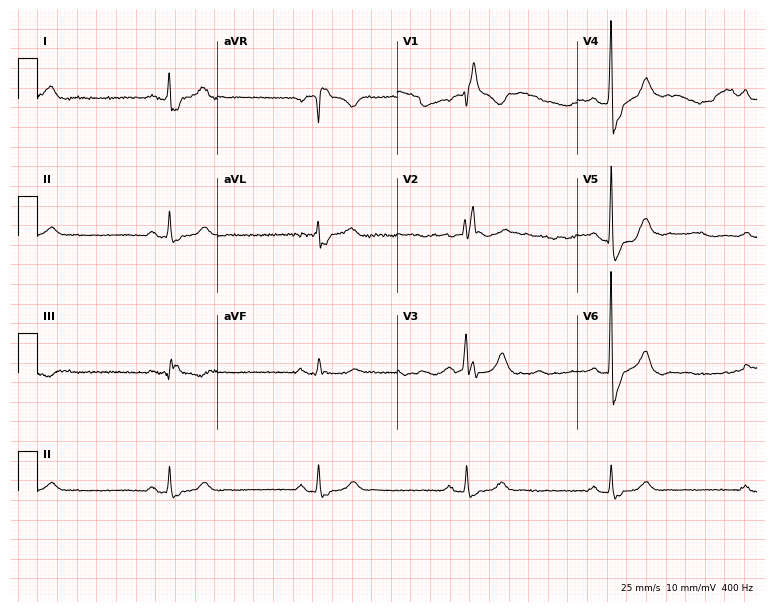
12-lead ECG (7.3-second recording at 400 Hz) from a male patient, 74 years old. Findings include right bundle branch block, sinus bradycardia (a sinus rate of 50 beats per minute or less).